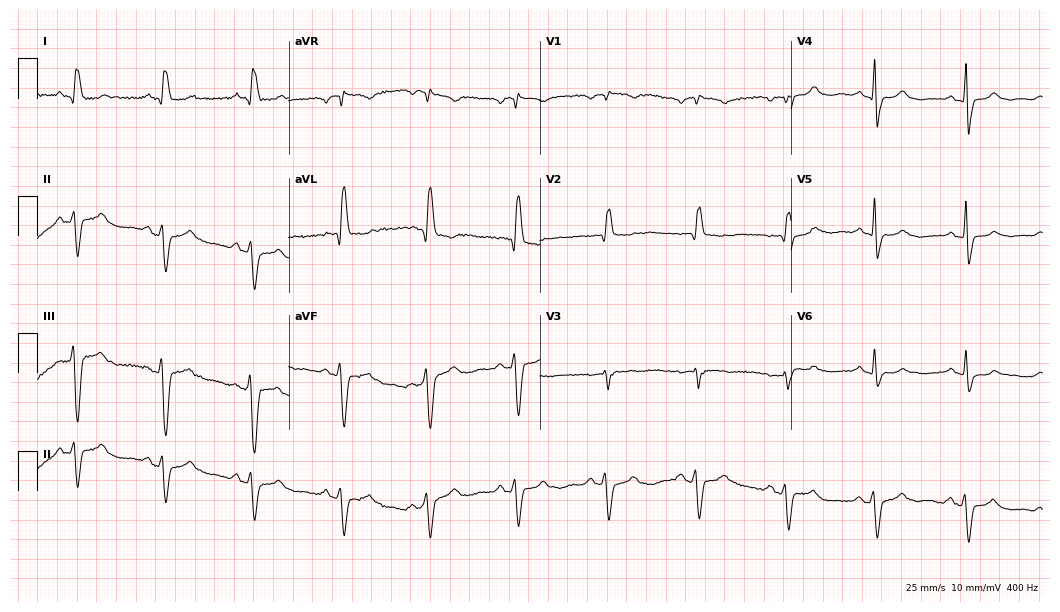
Electrocardiogram (10.2-second recording at 400 Hz), a woman, 87 years old. Interpretation includes right bundle branch block (RBBB).